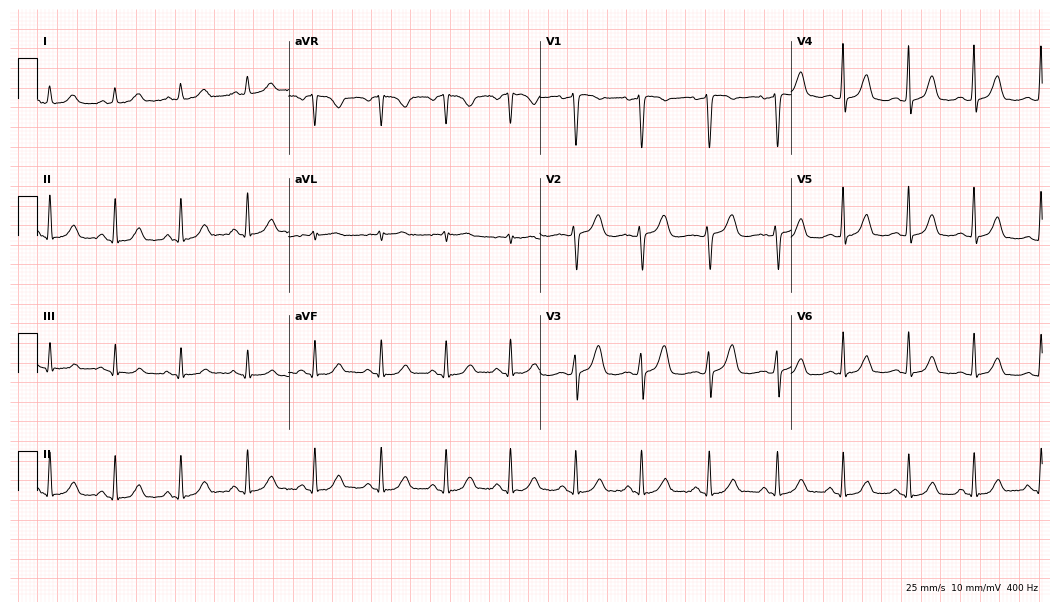
Standard 12-lead ECG recorded from a female patient, 39 years old. Read as a normal ECG.